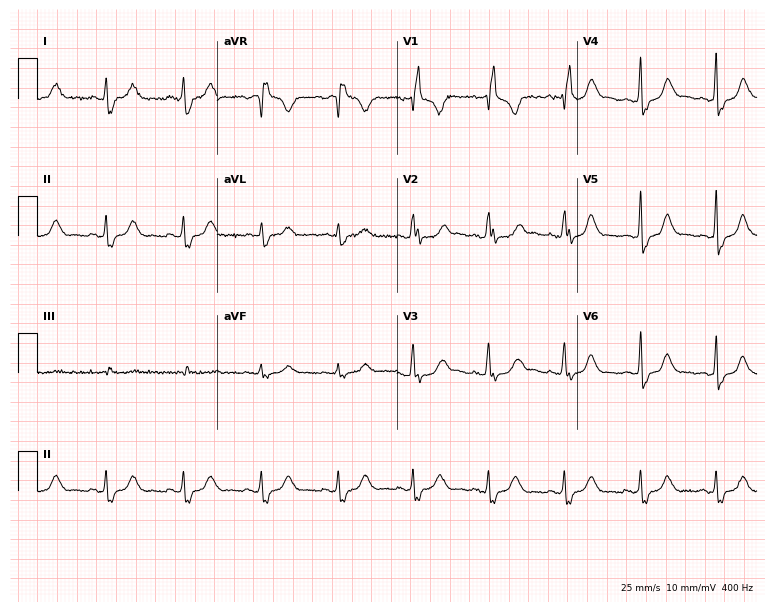
ECG — a female patient, 40 years old. Findings include right bundle branch block.